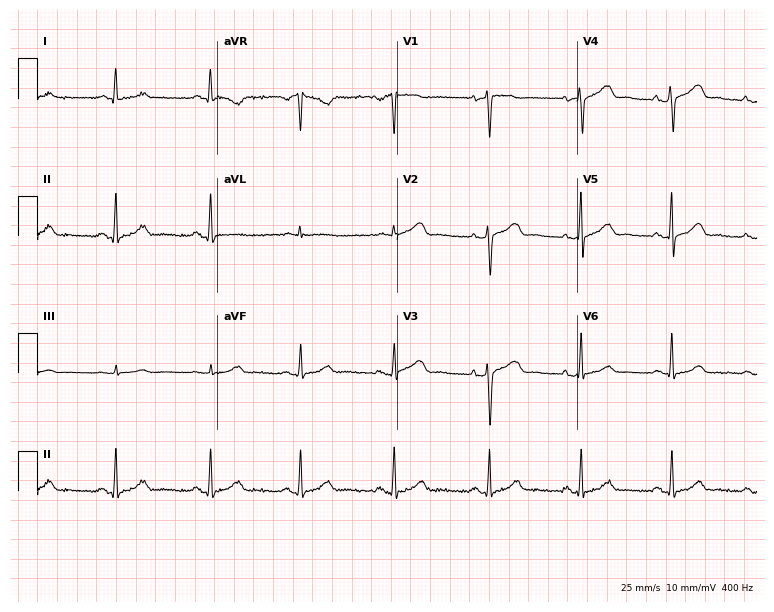
ECG — a woman, 53 years old. Labelled as a normal ECG.